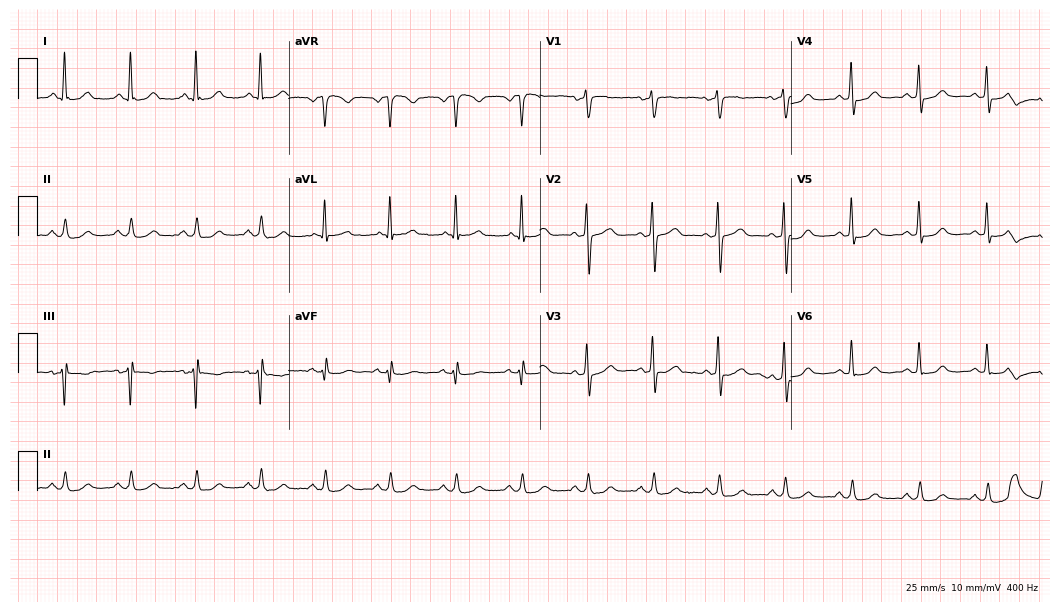
12-lead ECG from a 64-year-old female. Labelled as a normal ECG.